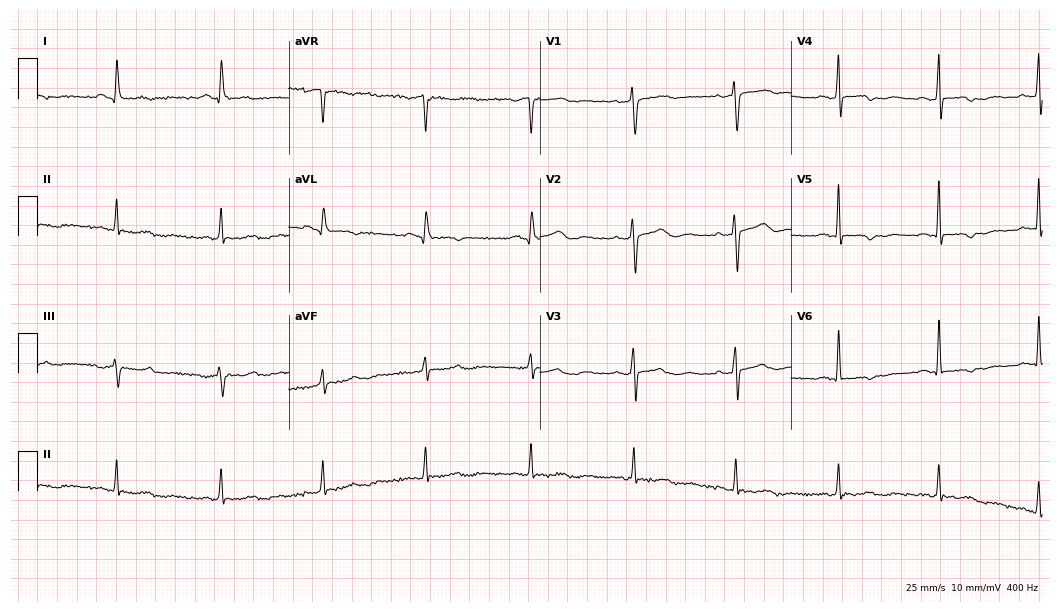
Electrocardiogram (10.2-second recording at 400 Hz), a 54-year-old female patient. Of the six screened findings (first-degree AV block, right bundle branch block, left bundle branch block, sinus bradycardia, atrial fibrillation, sinus tachycardia), none is recorded. Other findings, if any, are not listed.